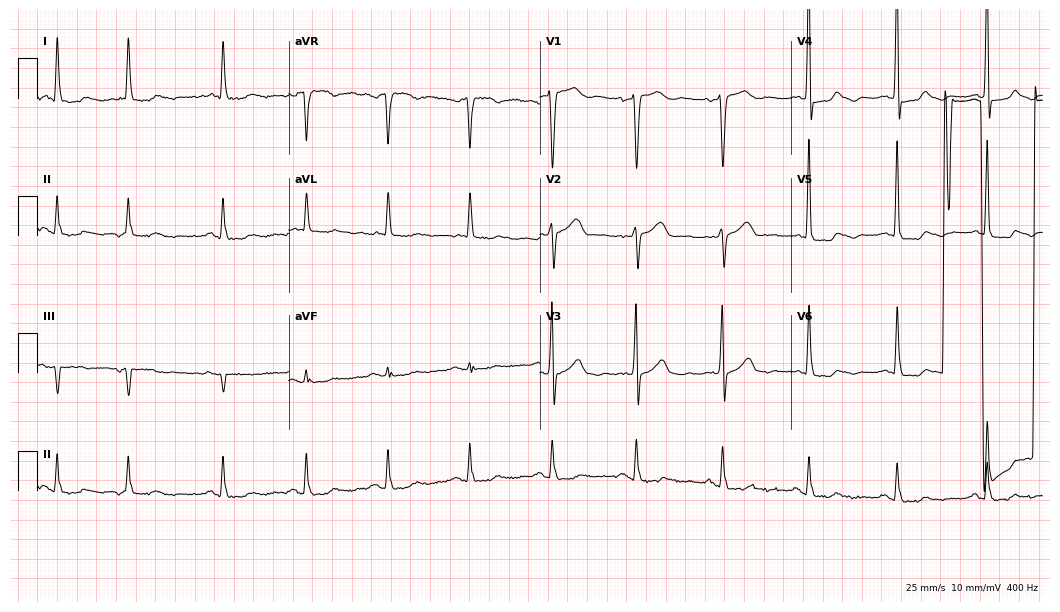
12-lead ECG from a male patient, 71 years old (10.2-second recording at 400 Hz). No first-degree AV block, right bundle branch block, left bundle branch block, sinus bradycardia, atrial fibrillation or sinus tachycardia recorded for this tracing. Only these six findings were labelled.